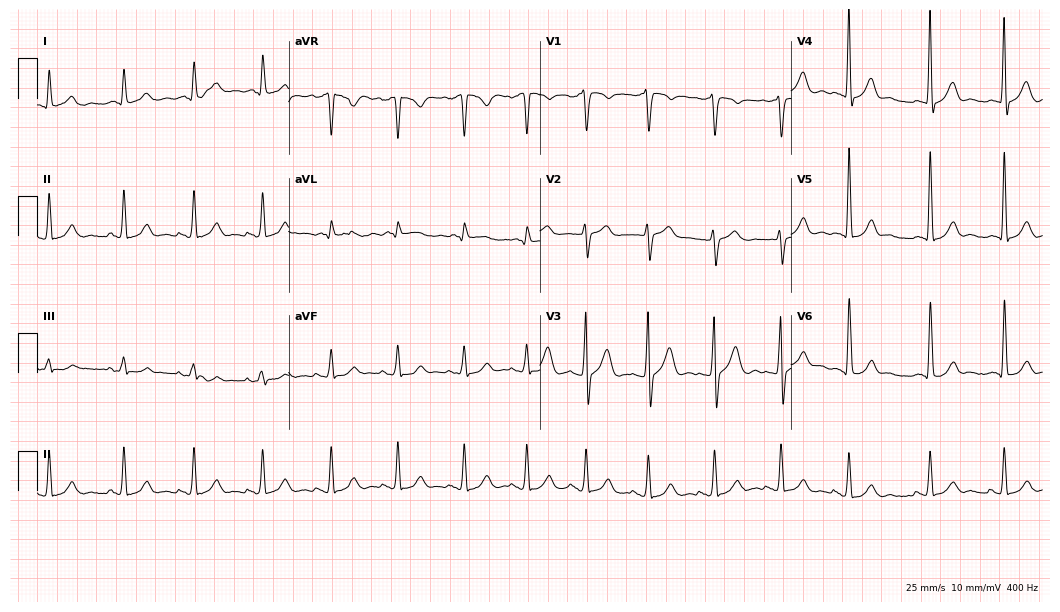
ECG — a male, 34 years old. Labelled as a normal ECG.